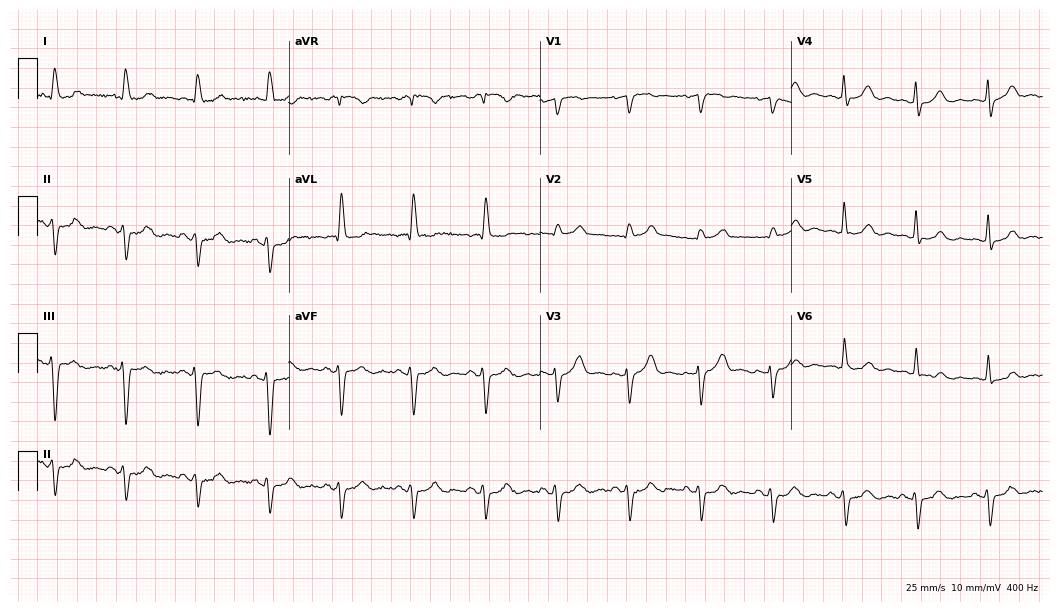
Resting 12-lead electrocardiogram. Patient: an 83-year-old woman. None of these six findings is recorded: first-degree AV block, right bundle branch block (RBBB), left bundle branch block (LBBB), sinus bradycardia, atrial fibrillation (AF), sinus tachycardia.